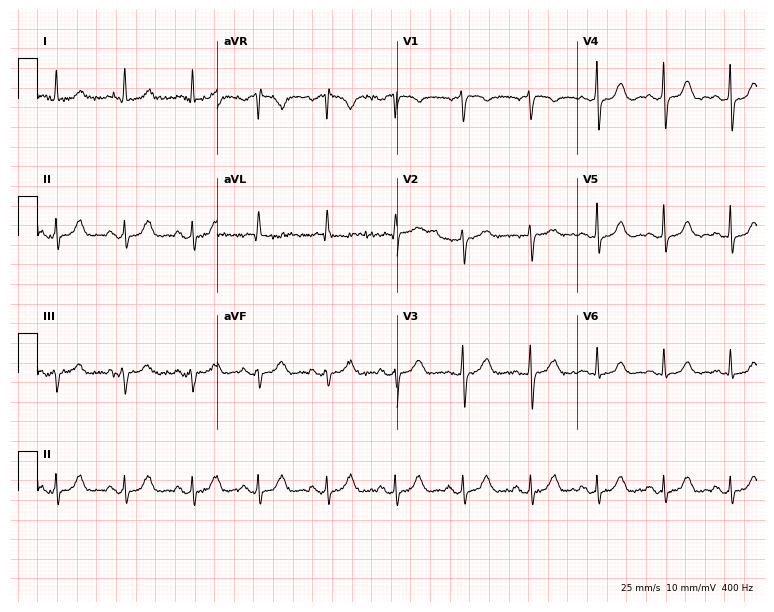
Electrocardiogram (7.3-second recording at 400 Hz), a 68-year-old woman. Overall reading on record: normal ECG.